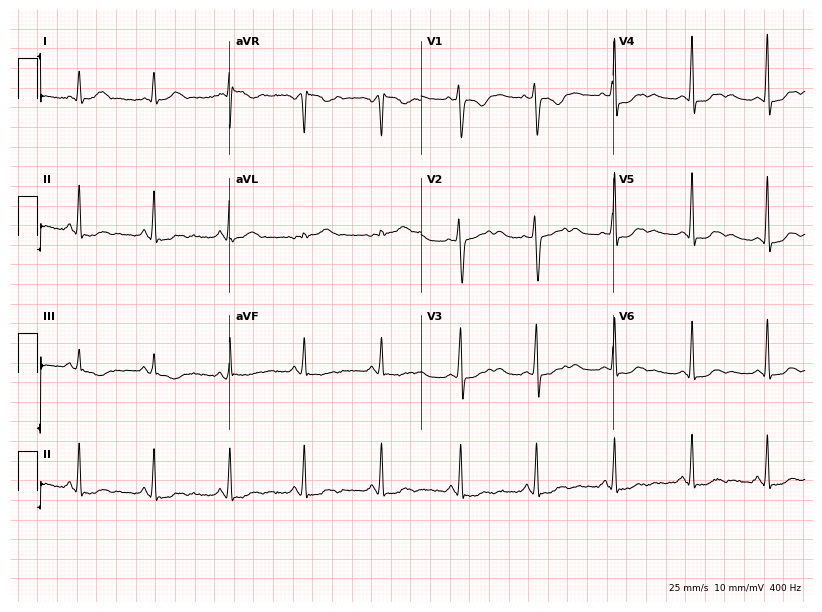
12-lead ECG from a 34-year-old female patient. No first-degree AV block, right bundle branch block, left bundle branch block, sinus bradycardia, atrial fibrillation or sinus tachycardia recorded for this tracing.